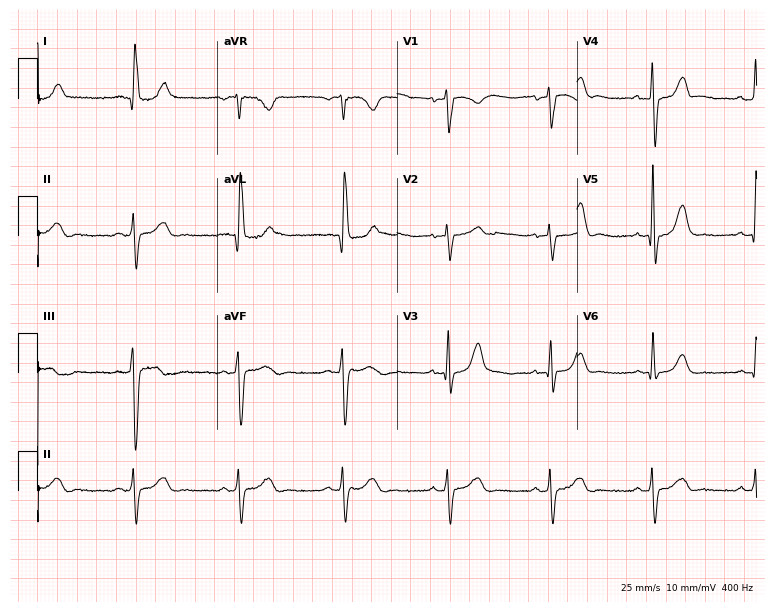
Resting 12-lead electrocardiogram. Patient: a 74-year-old female. None of these six findings is recorded: first-degree AV block, right bundle branch block, left bundle branch block, sinus bradycardia, atrial fibrillation, sinus tachycardia. Only these six findings were labelled.